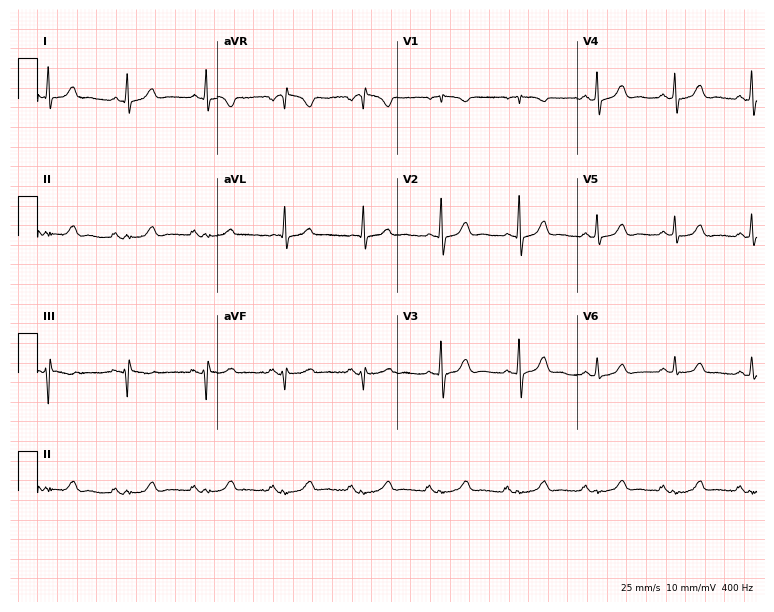
Standard 12-lead ECG recorded from a 79-year-old female patient (7.3-second recording at 400 Hz). None of these six findings is recorded: first-degree AV block, right bundle branch block, left bundle branch block, sinus bradycardia, atrial fibrillation, sinus tachycardia.